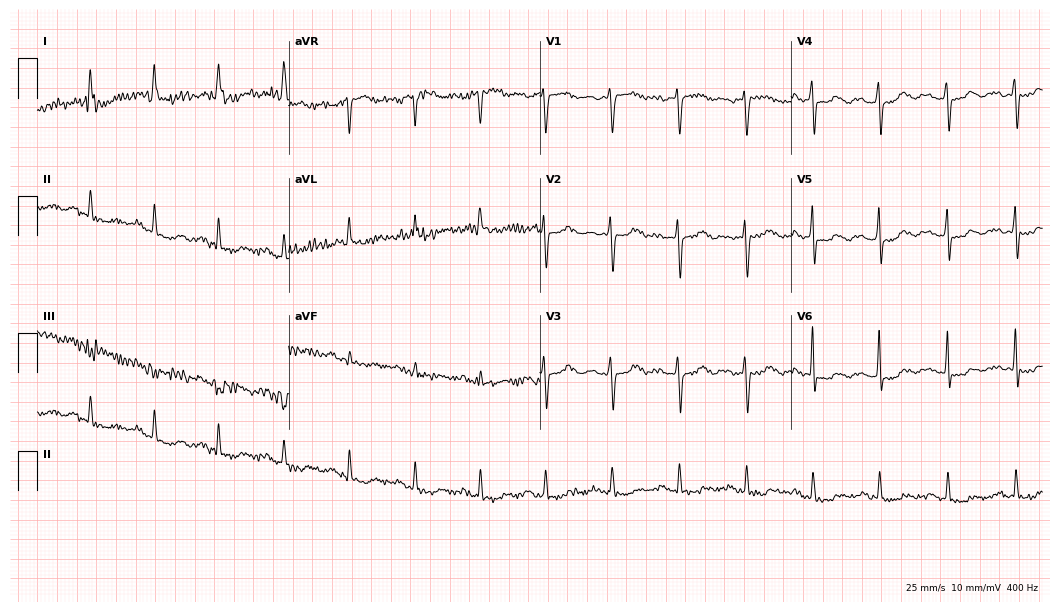
Resting 12-lead electrocardiogram (10.2-second recording at 400 Hz). Patient: an 85-year-old woman. None of these six findings is recorded: first-degree AV block, right bundle branch block, left bundle branch block, sinus bradycardia, atrial fibrillation, sinus tachycardia. Only these six findings were labelled.